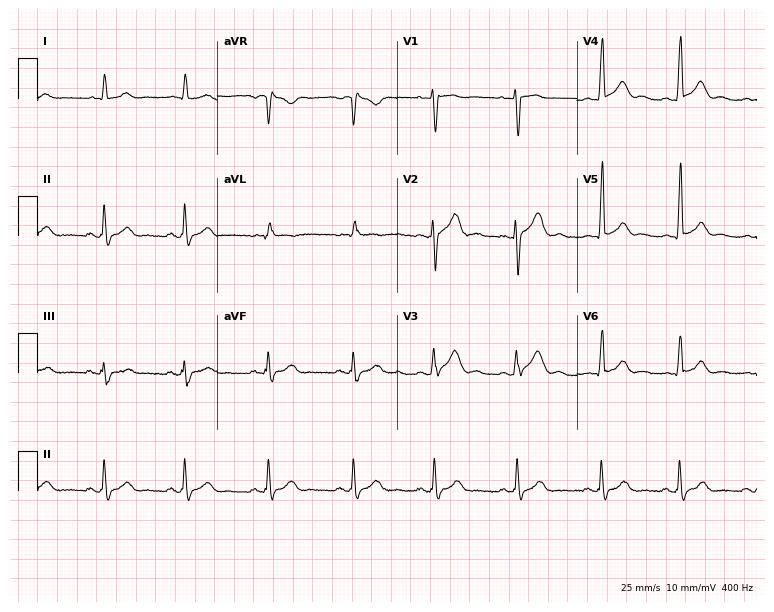
Electrocardiogram (7.3-second recording at 400 Hz), a male, 29 years old. Of the six screened findings (first-degree AV block, right bundle branch block (RBBB), left bundle branch block (LBBB), sinus bradycardia, atrial fibrillation (AF), sinus tachycardia), none is recorded.